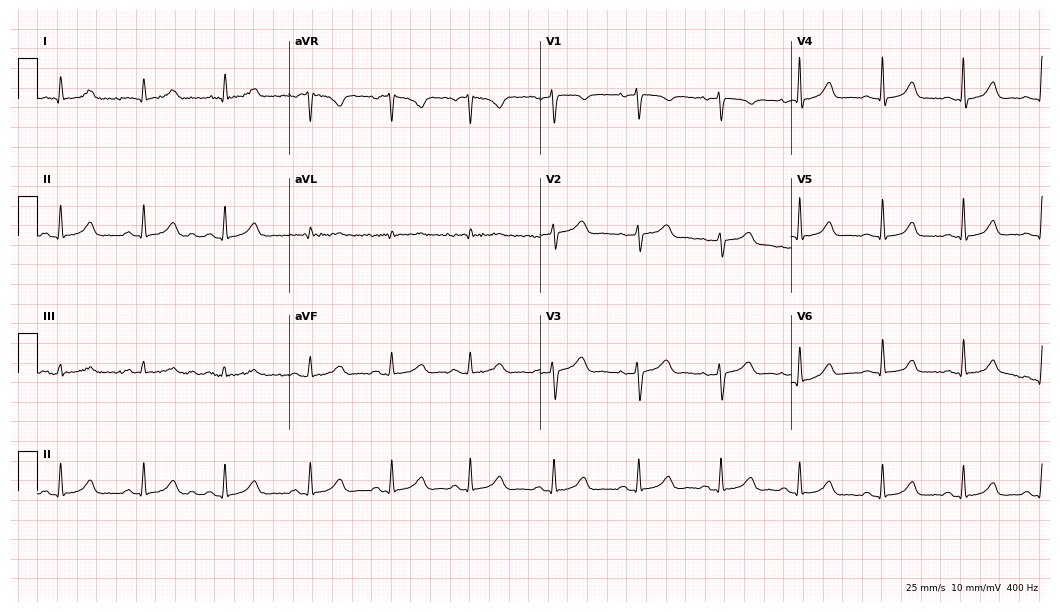
Standard 12-lead ECG recorded from a 59-year-old woman (10.2-second recording at 400 Hz). Read as a normal ECG.